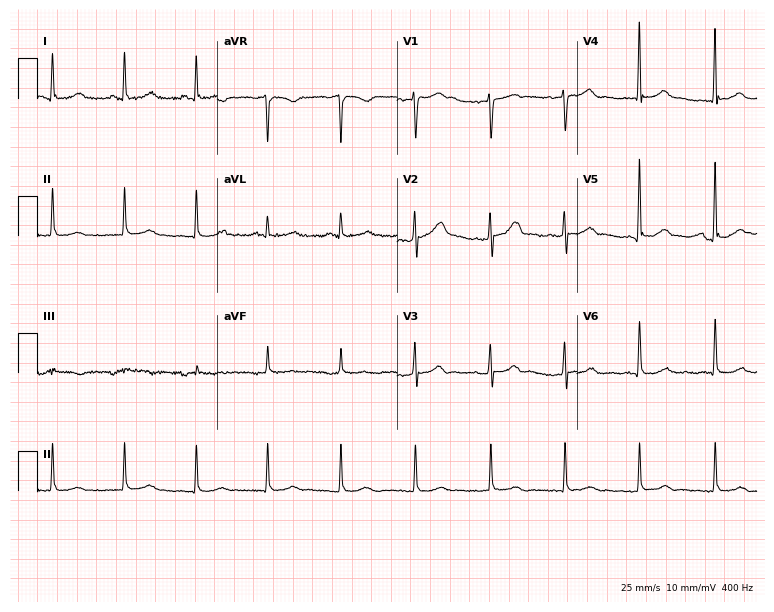
ECG (7.3-second recording at 400 Hz) — a 35-year-old female patient. Labelled as a normal ECG.